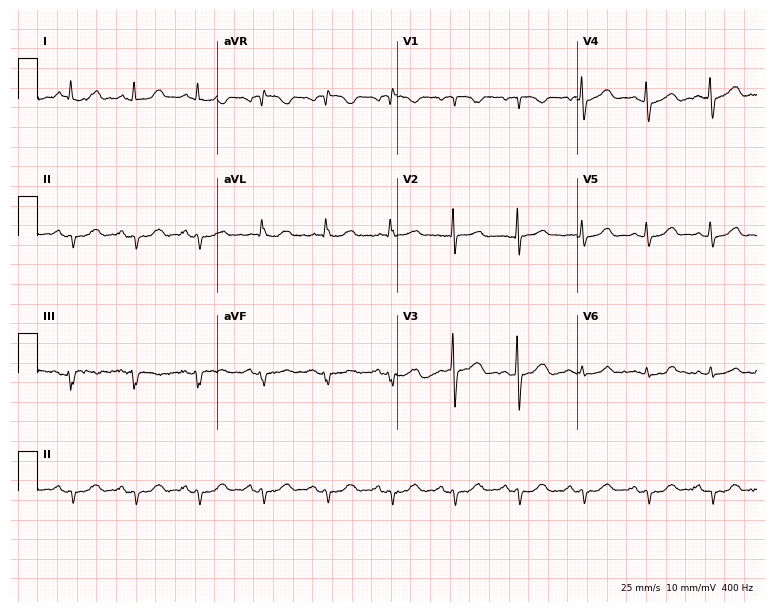
Resting 12-lead electrocardiogram. Patient: a 76-year-old female. None of these six findings is recorded: first-degree AV block, right bundle branch block, left bundle branch block, sinus bradycardia, atrial fibrillation, sinus tachycardia.